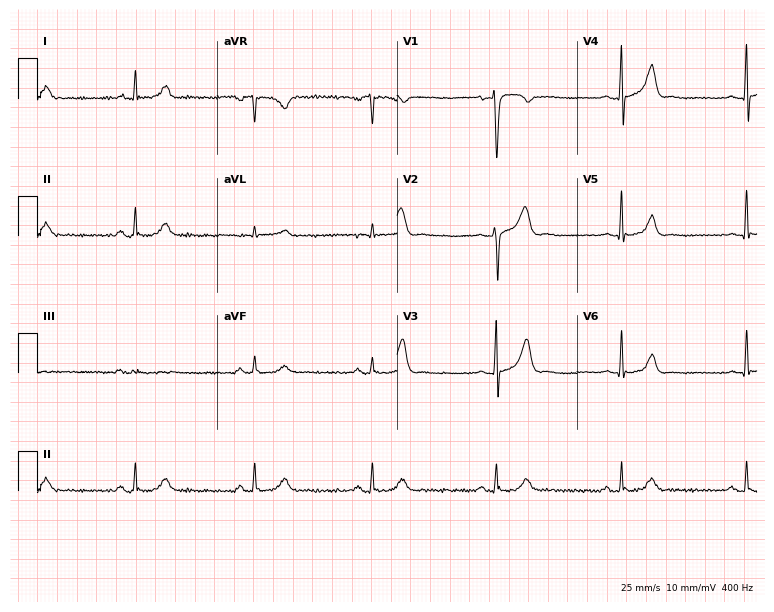
Standard 12-lead ECG recorded from a man, 60 years old. The tracing shows sinus bradycardia (a sinus rate of 50 beats per minute or less).